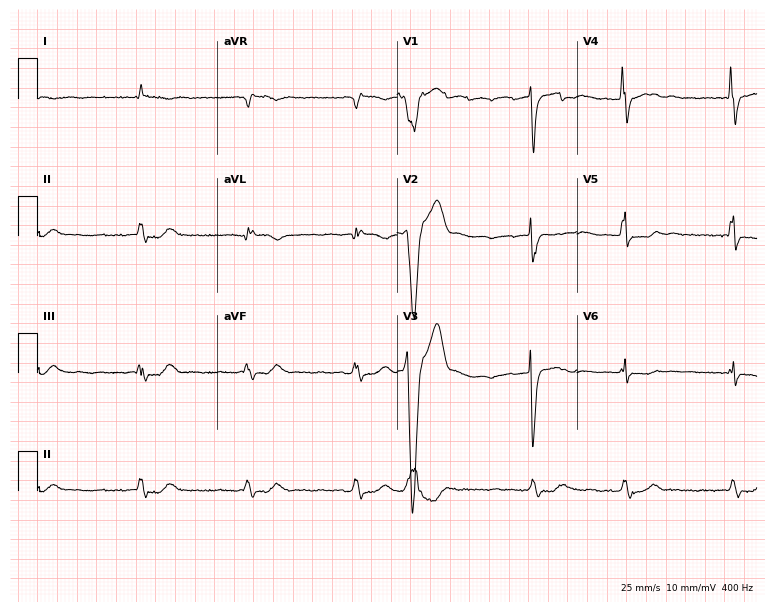
12-lead ECG from a 63-year-old man. Shows atrial fibrillation.